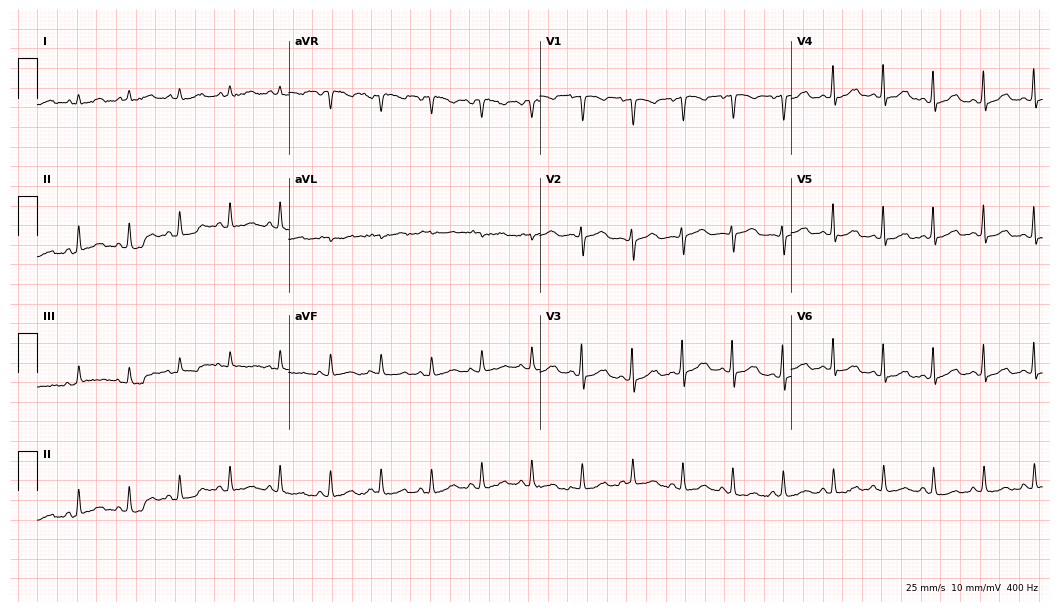
12-lead ECG from a female, 46 years old (10.2-second recording at 400 Hz). Shows sinus tachycardia (a sinus rate of 100 beats per minute or more).